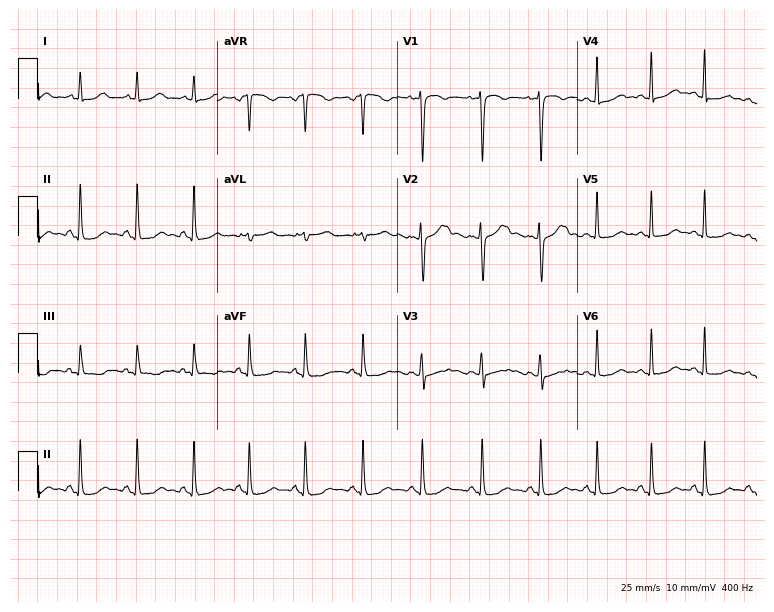
ECG (7.3-second recording at 400 Hz) — a 28-year-old female patient. Labelled as a normal ECG.